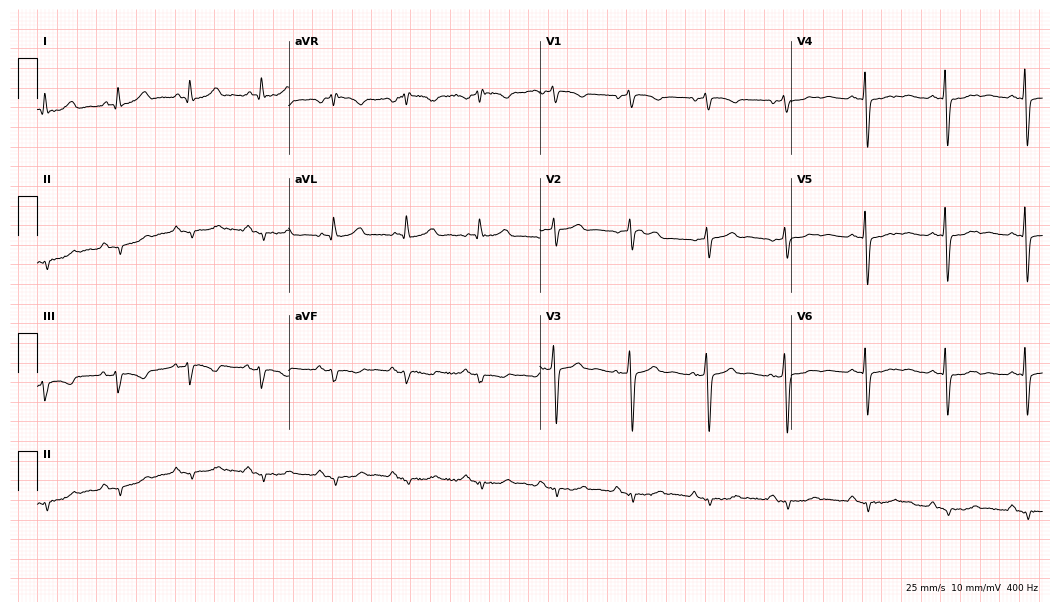
Standard 12-lead ECG recorded from a female patient, 72 years old (10.2-second recording at 400 Hz). None of these six findings is recorded: first-degree AV block, right bundle branch block (RBBB), left bundle branch block (LBBB), sinus bradycardia, atrial fibrillation (AF), sinus tachycardia. Only these six findings were labelled.